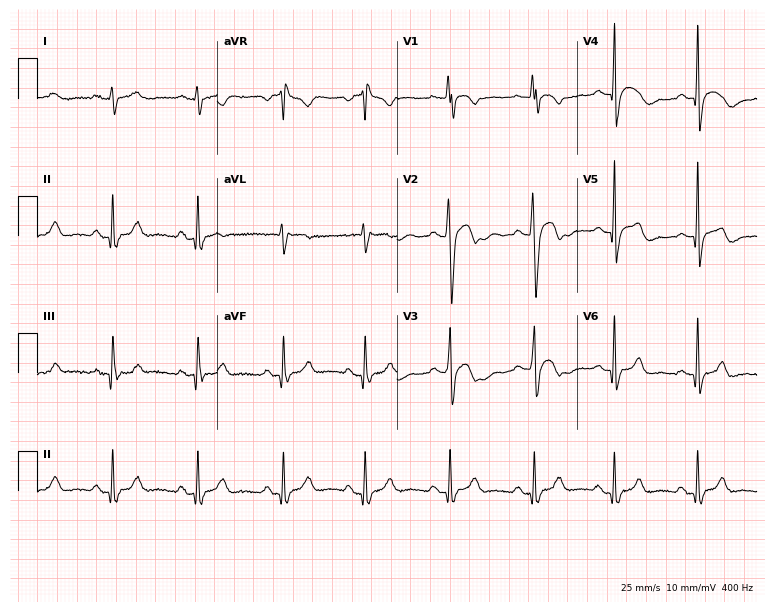
ECG — a 22-year-old man. Screened for six findings — first-degree AV block, right bundle branch block, left bundle branch block, sinus bradycardia, atrial fibrillation, sinus tachycardia — none is recorded.